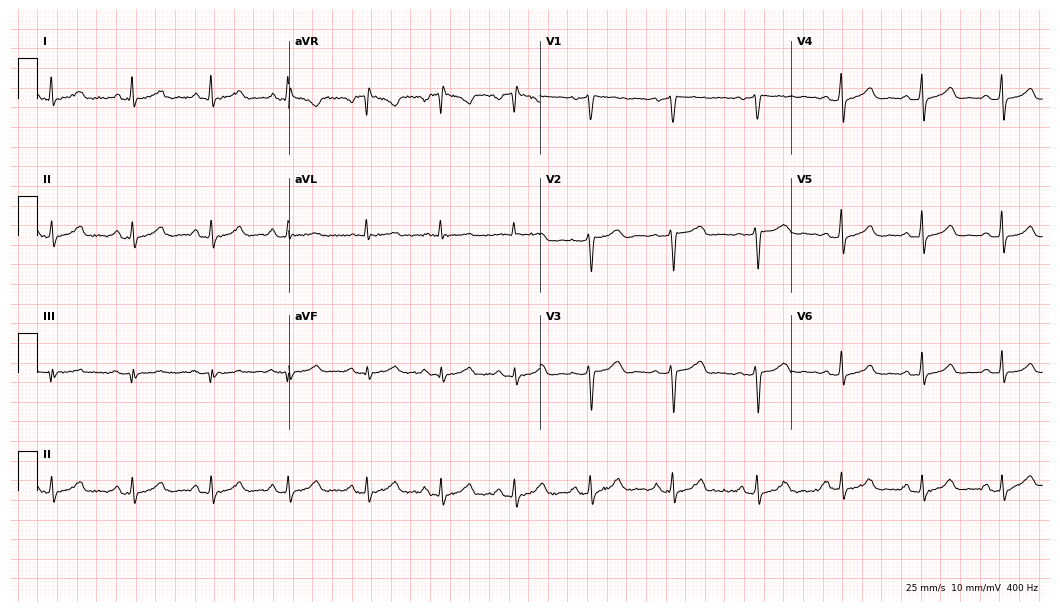
12-lead ECG from a 52-year-old female. Screened for six findings — first-degree AV block, right bundle branch block (RBBB), left bundle branch block (LBBB), sinus bradycardia, atrial fibrillation (AF), sinus tachycardia — none is recorded. Other findings, if any, are not listed.